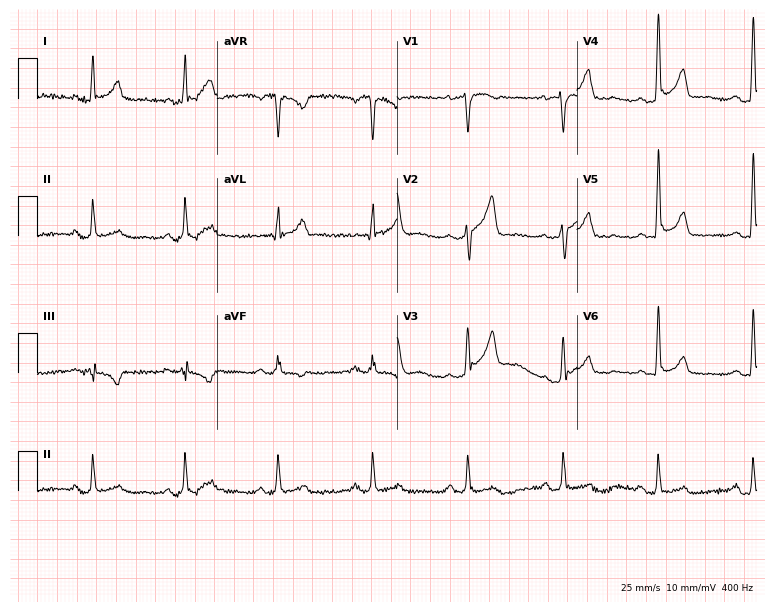
Resting 12-lead electrocardiogram. Patient: a male, 43 years old. None of these six findings is recorded: first-degree AV block, right bundle branch block (RBBB), left bundle branch block (LBBB), sinus bradycardia, atrial fibrillation (AF), sinus tachycardia.